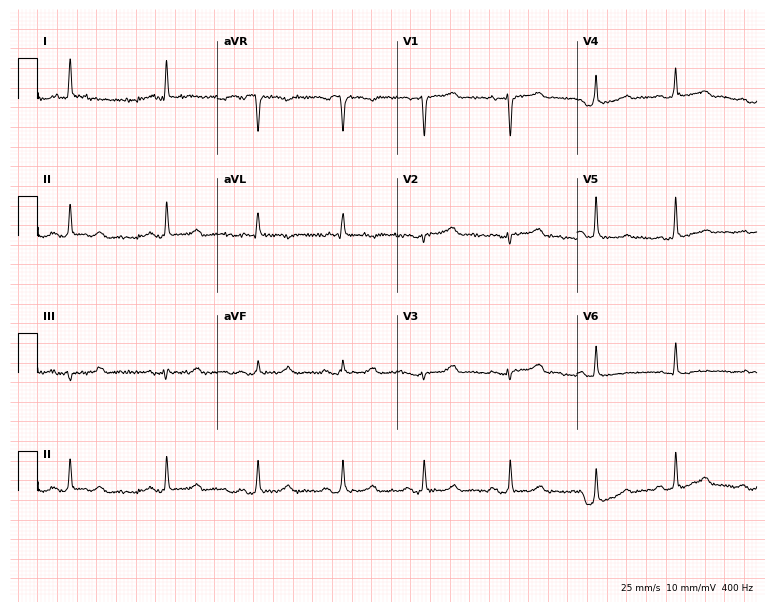
12-lead ECG from a 75-year-old woman (7.3-second recording at 400 Hz). No first-degree AV block, right bundle branch block, left bundle branch block, sinus bradycardia, atrial fibrillation or sinus tachycardia recorded for this tracing. Other findings, if any, are not listed.